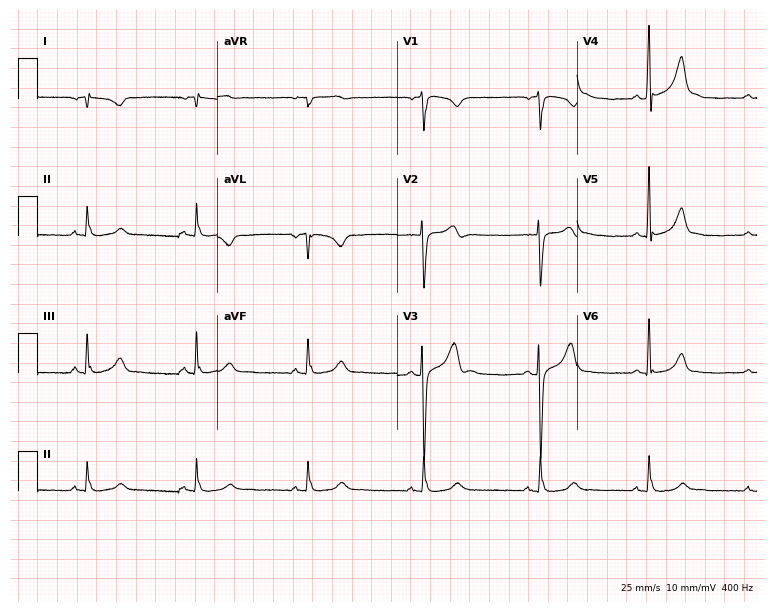
Electrocardiogram, an 18-year-old man. Of the six screened findings (first-degree AV block, right bundle branch block, left bundle branch block, sinus bradycardia, atrial fibrillation, sinus tachycardia), none is recorded. Other findings, if any, are not listed.